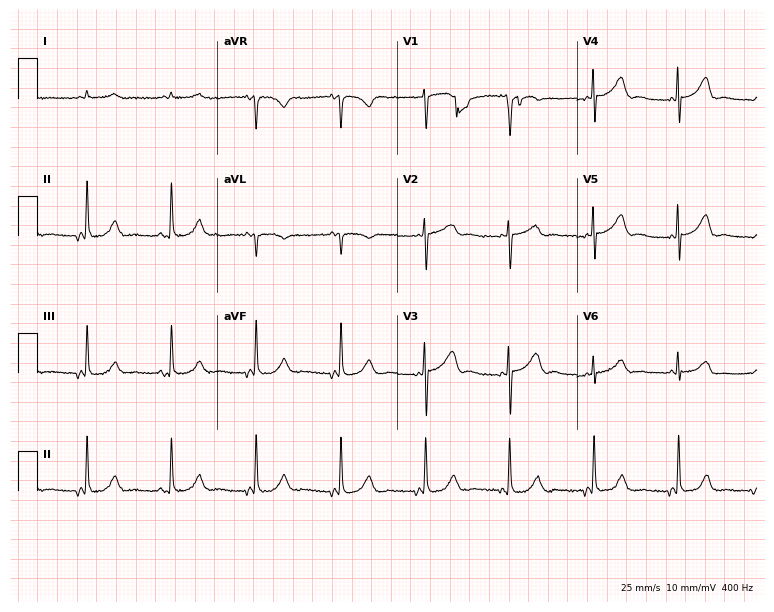
Electrocardiogram (7.3-second recording at 400 Hz), a 70-year-old male patient. Overall reading on record: normal ECG.